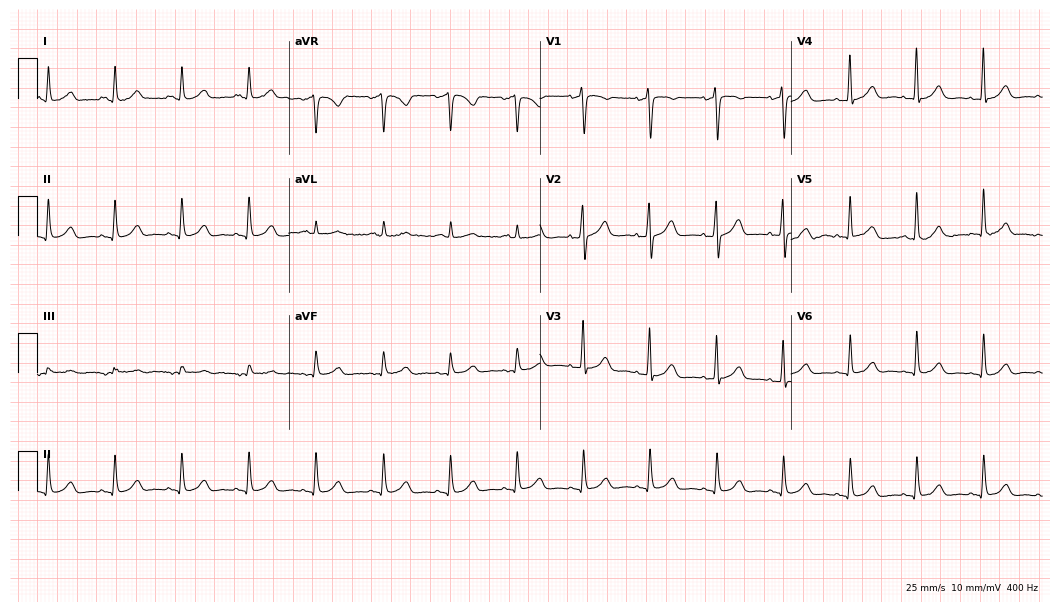
12-lead ECG from a 71-year-old female. No first-degree AV block, right bundle branch block, left bundle branch block, sinus bradycardia, atrial fibrillation or sinus tachycardia recorded for this tracing. Only these six findings were labelled.